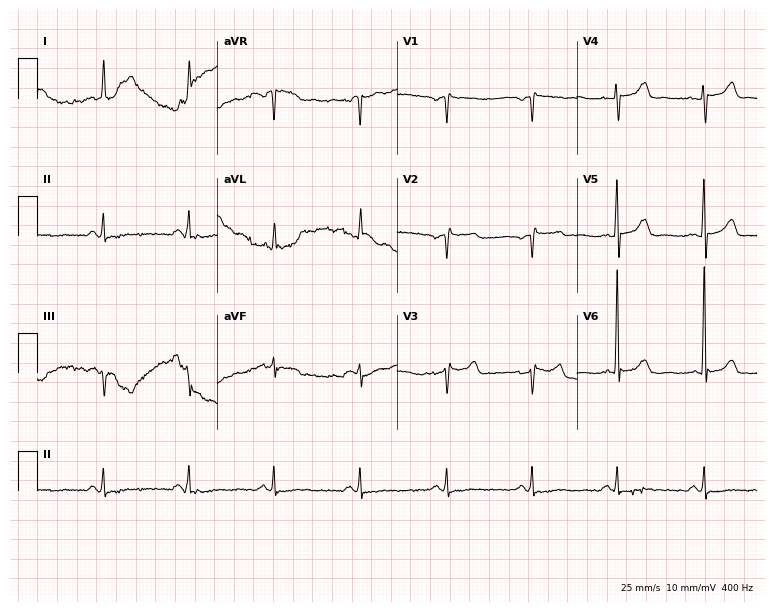
ECG — an 81-year-old male patient. Screened for six findings — first-degree AV block, right bundle branch block, left bundle branch block, sinus bradycardia, atrial fibrillation, sinus tachycardia — none is recorded.